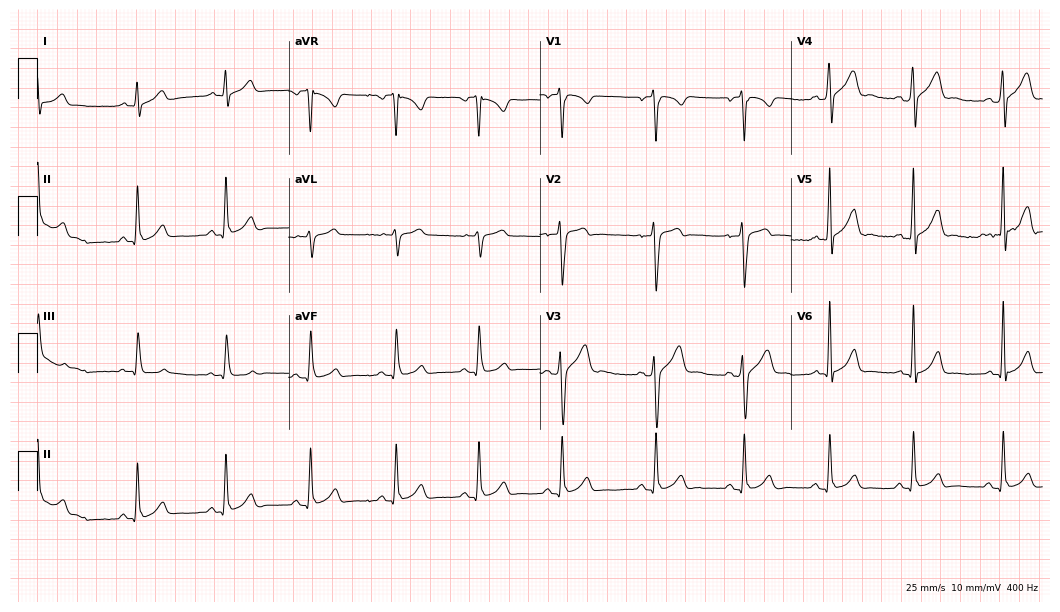
Standard 12-lead ECG recorded from a male, 18 years old. None of these six findings is recorded: first-degree AV block, right bundle branch block, left bundle branch block, sinus bradycardia, atrial fibrillation, sinus tachycardia. Only these six findings were labelled.